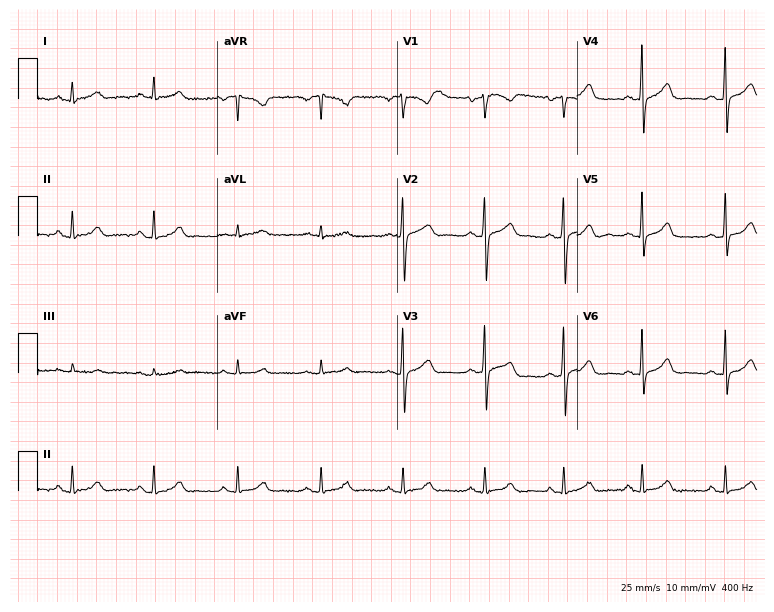
12-lead ECG from a female patient, 30 years old (7.3-second recording at 400 Hz). Recorded interpretation: within normal limits.